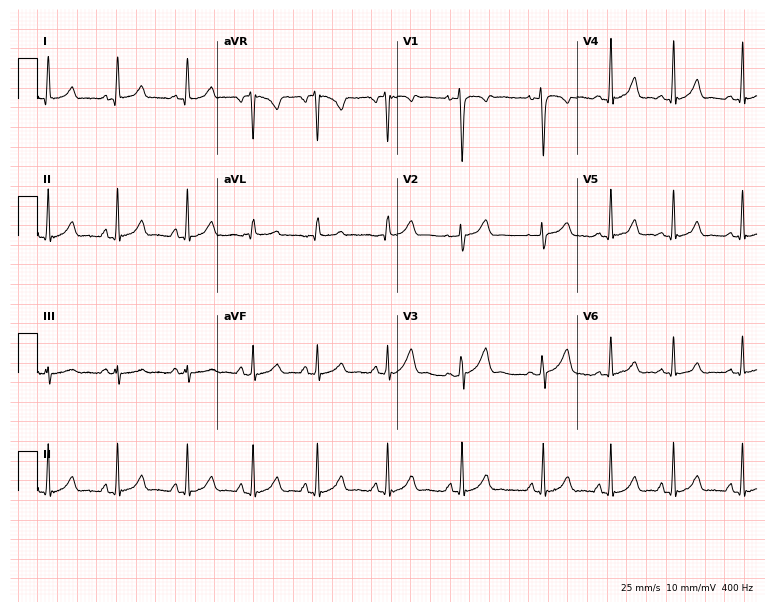
12-lead ECG from an 18-year-old woman. Recorded interpretation: within normal limits.